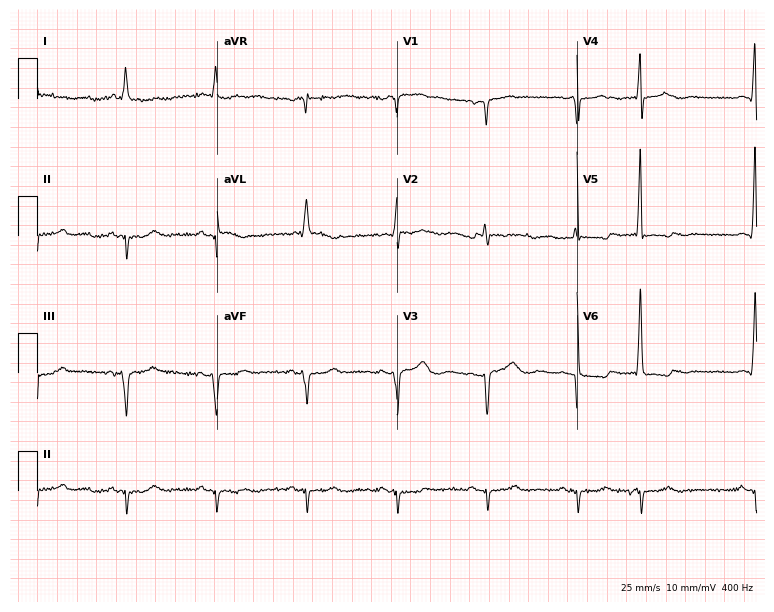
ECG — a male patient, 85 years old. Screened for six findings — first-degree AV block, right bundle branch block (RBBB), left bundle branch block (LBBB), sinus bradycardia, atrial fibrillation (AF), sinus tachycardia — none is recorded. Other findings, if any, are not listed.